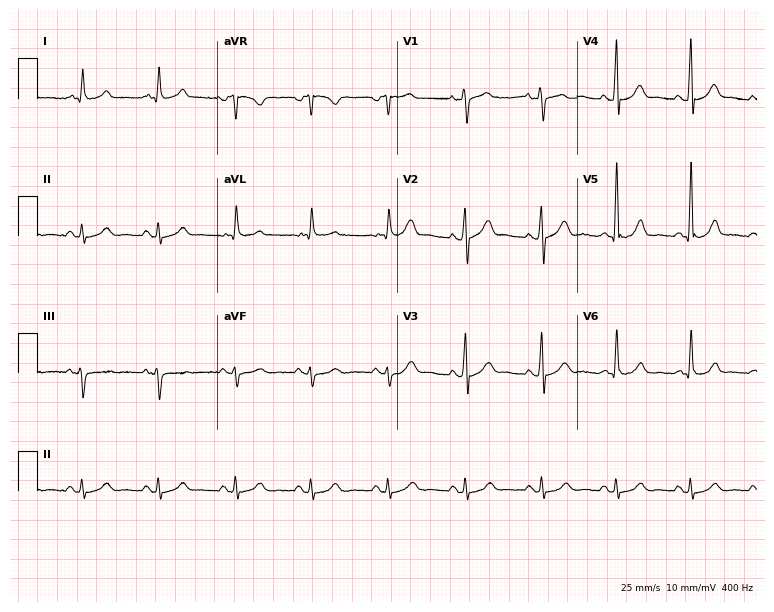
Electrocardiogram (7.3-second recording at 400 Hz), a male patient, 61 years old. Of the six screened findings (first-degree AV block, right bundle branch block (RBBB), left bundle branch block (LBBB), sinus bradycardia, atrial fibrillation (AF), sinus tachycardia), none is recorded.